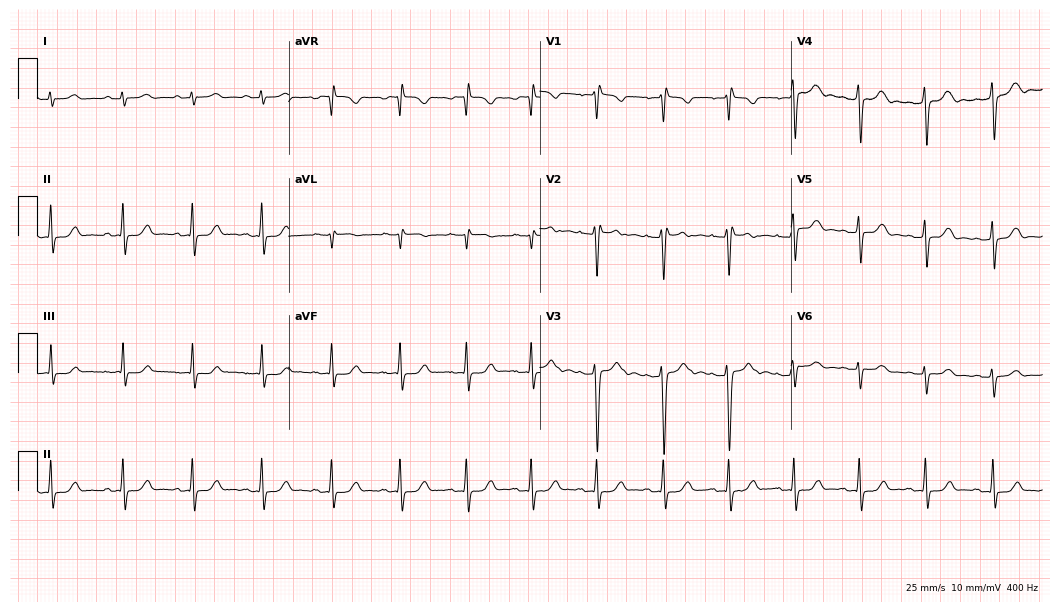
Standard 12-lead ECG recorded from a 31-year-old woman (10.2-second recording at 400 Hz). None of these six findings is recorded: first-degree AV block, right bundle branch block, left bundle branch block, sinus bradycardia, atrial fibrillation, sinus tachycardia. Other findings, if any, are not listed.